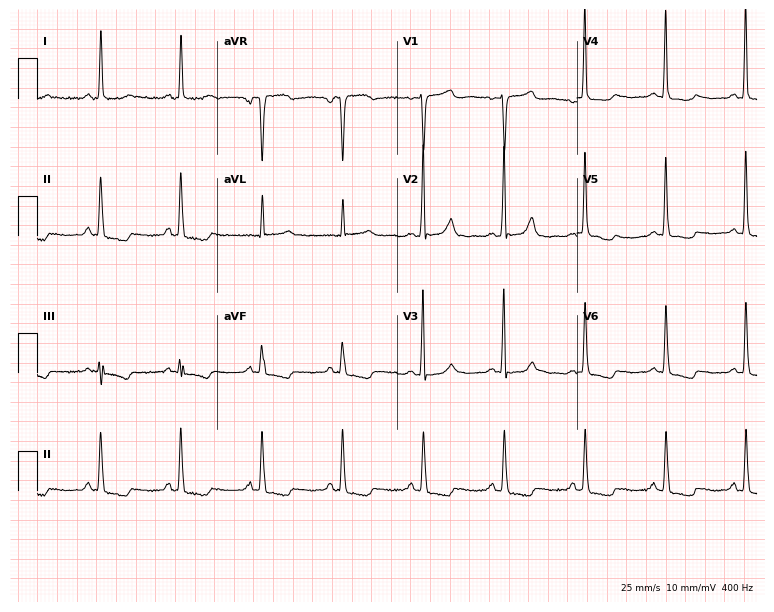
Resting 12-lead electrocardiogram (7.3-second recording at 400 Hz). Patient: a female, 45 years old. None of these six findings is recorded: first-degree AV block, right bundle branch block (RBBB), left bundle branch block (LBBB), sinus bradycardia, atrial fibrillation (AF), sinus tachycardia. Only these six findings were labelled.